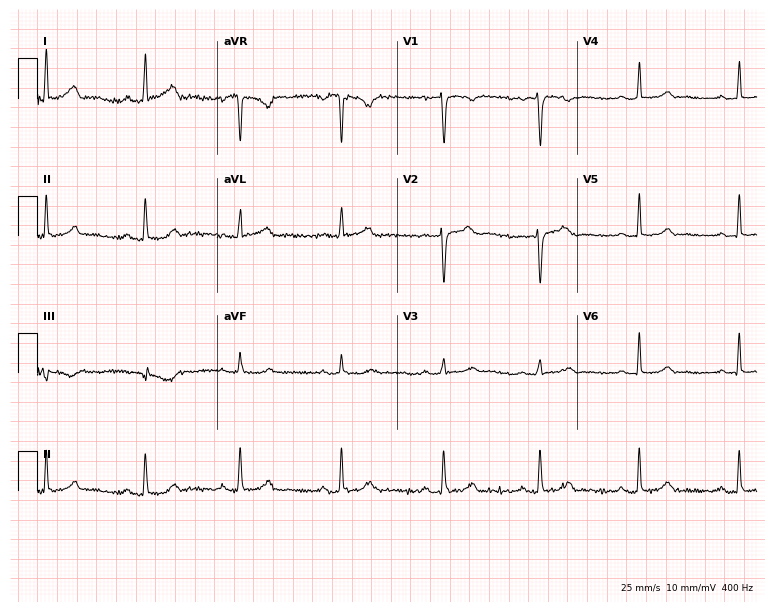
Standard 12-lead ECG recorded from a 38-year-old female patient (7.3-second recording at 400 Hz). None of these six findings is recorded: first-degree AV block, right bundle branch block, left bundle branch block, sinus bradycardia, atrial fibrillation, sinus tachycardia. Findings outside these six are not listed.